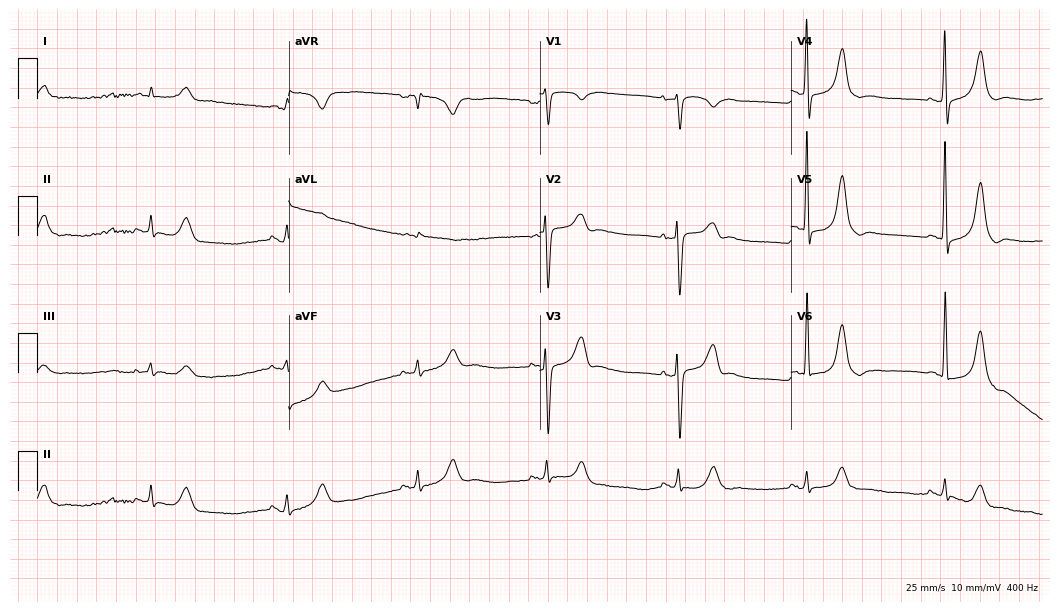
12-lead ECG from a 72-year-old male (10.2-second recording at 400 Hz). No first-degree AV block, right bundle branch block, left bundle branch block, sinus bradycardia, atrial fibrillation or sinus tachycardia recorded for this tracing.